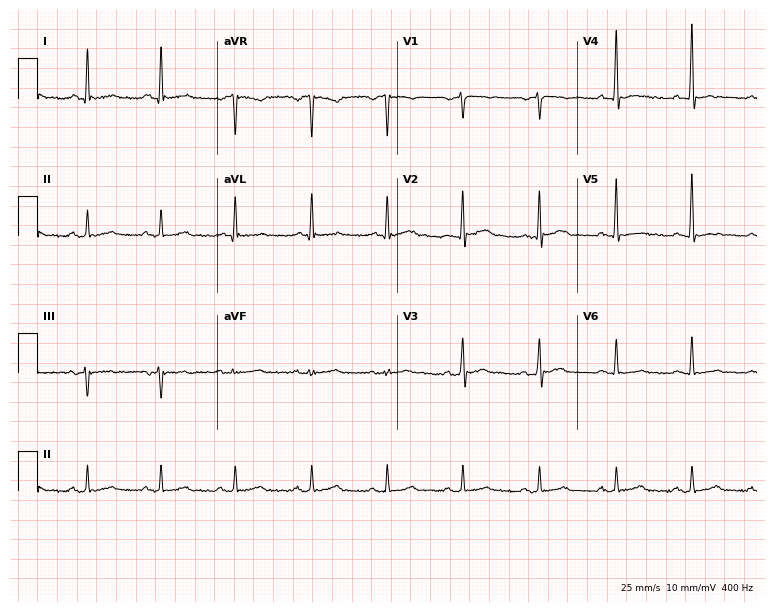
Resting 12-lead electrocardiogram (7.3-second recording at 400 Hz). Patient: a 54-year-old male. None of these six findings is recorded: first-degree AV block, right bundle branch block, left bundle branch block, sinus bradycardia, atrial fibrillation, sinus tachycardia.